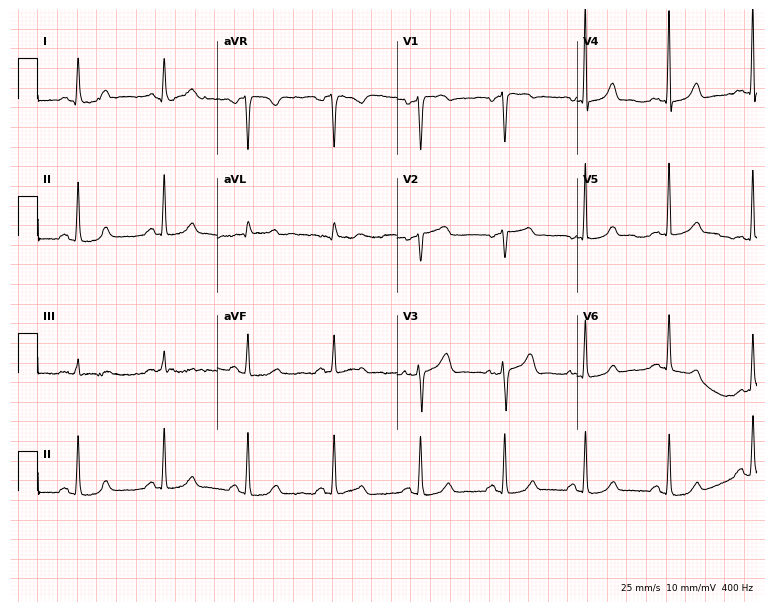
12-lead ECG from a woman, 55 years old. Screened for six findings — first-degree AV block, right bundle branch block, left bundle branch block, sinus bradycardia, atrial fibrillation, sinus tachycardia — none is recorded.